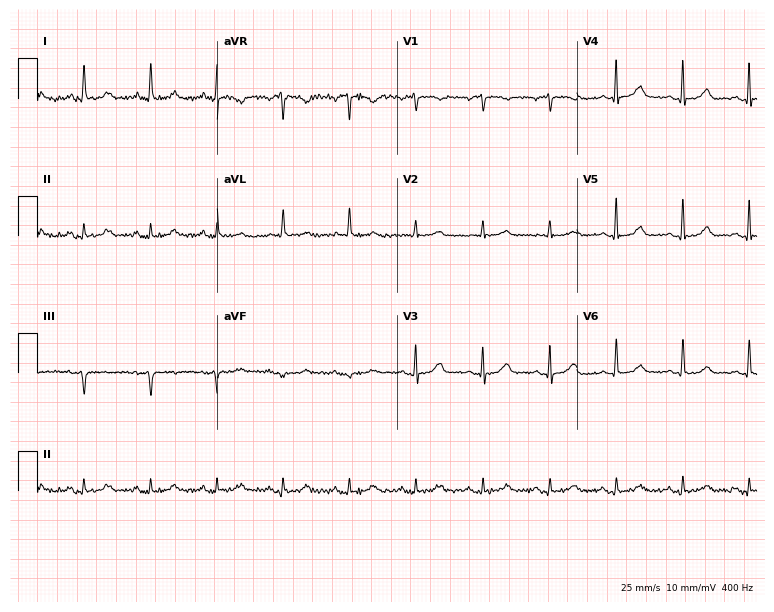
12-lead ECG from a woman, 64 years old. Recorded interpretation: within normal limits.